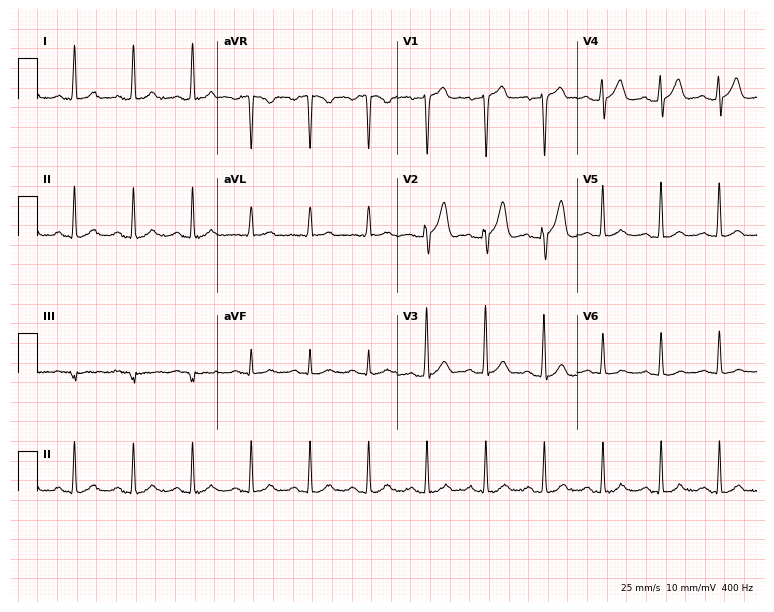
12-lead ECG from a man, 36 years old. Findings include sinus tachycardia (a sinus rate of 100 beats per minute or more).